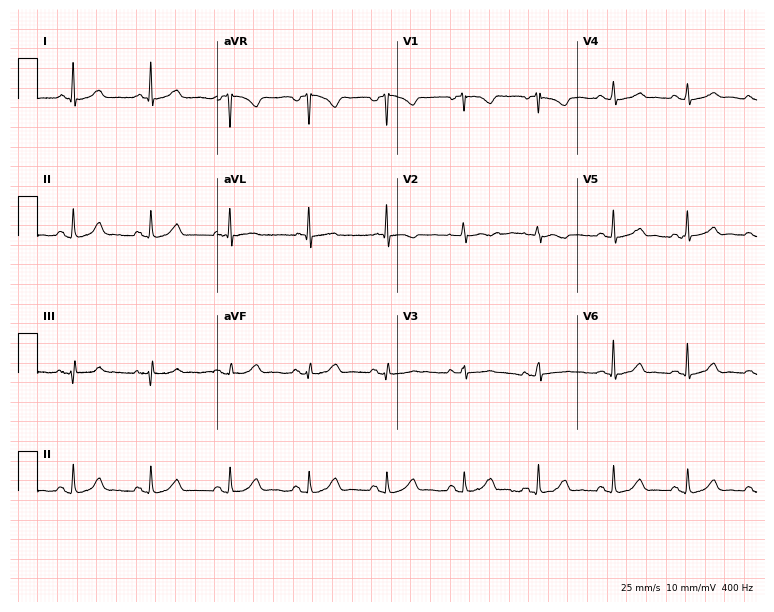
12-lead ECG from a 55-year-old female patient. Screened for six findings — first-degree AV block, right bundle branch block, left bundle branch block, sinus bradycardia, atrial fibrillation, sinus tachycardia — none is recorded.